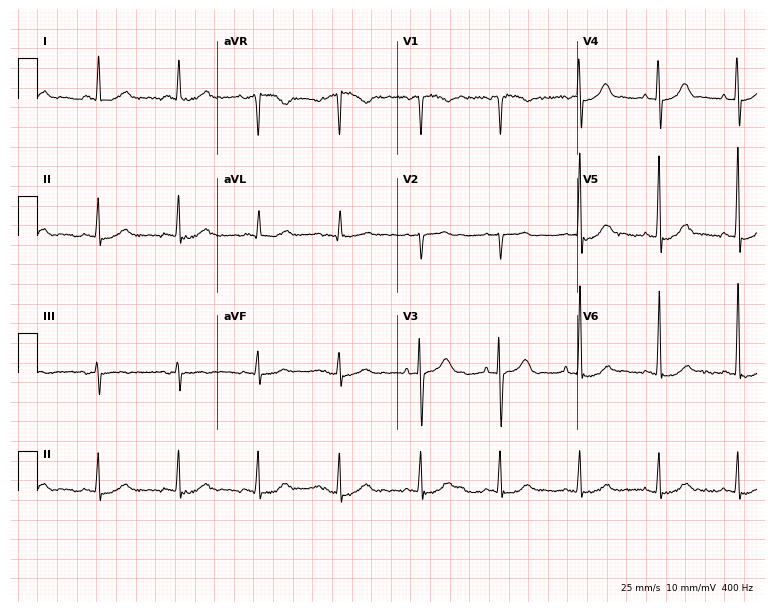
Standard 12-lead ECG recorded from a male, 71 years old (7.3-second recording at 400 Hz). Read as a normal ECG.